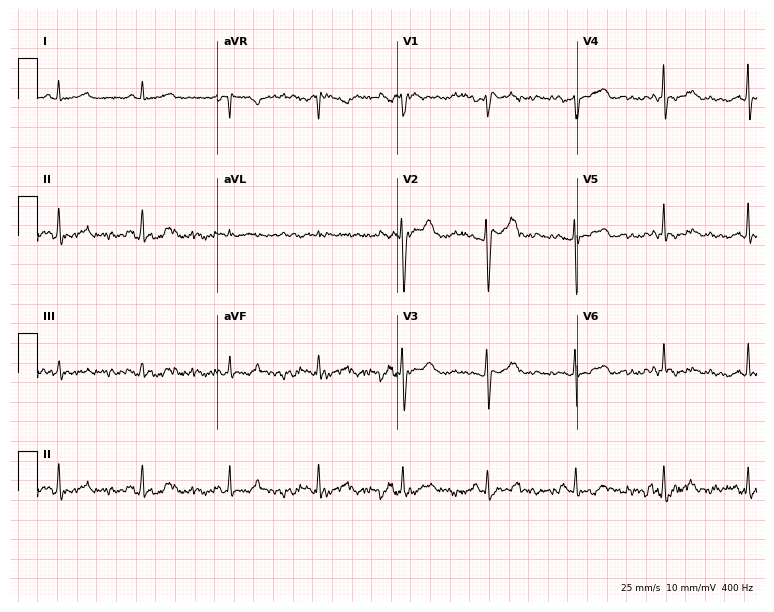
12-lead ECG from a 26-year-old female patient. Recorded interpretation: within normal limits.